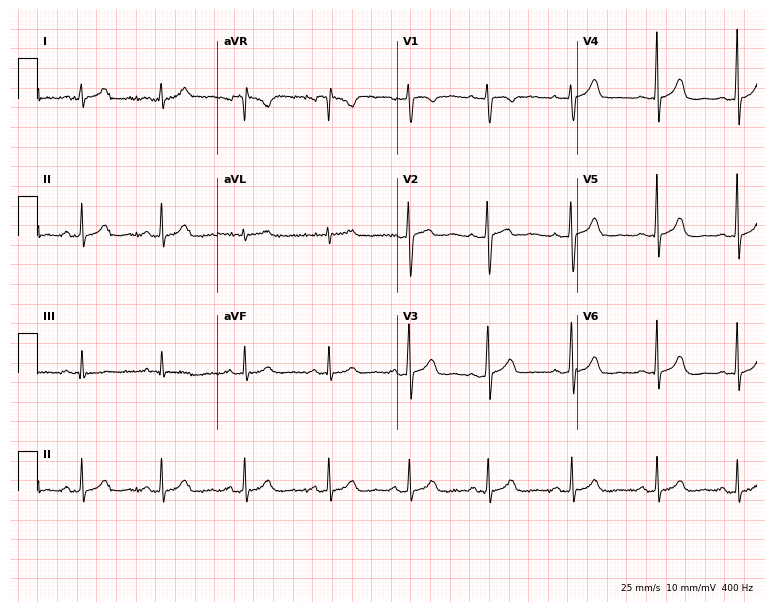
ECG (7.3-second recording at 400 Hz) — a 28-year-old female. Labelled as a normal ECG.